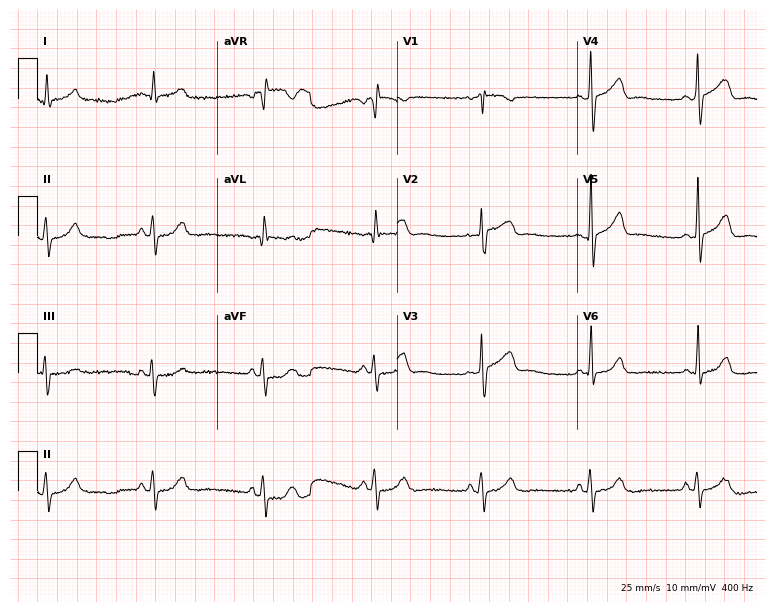
12-lead ECG from a 73-year-old male patient. Recorded interpretation: within normal limits.